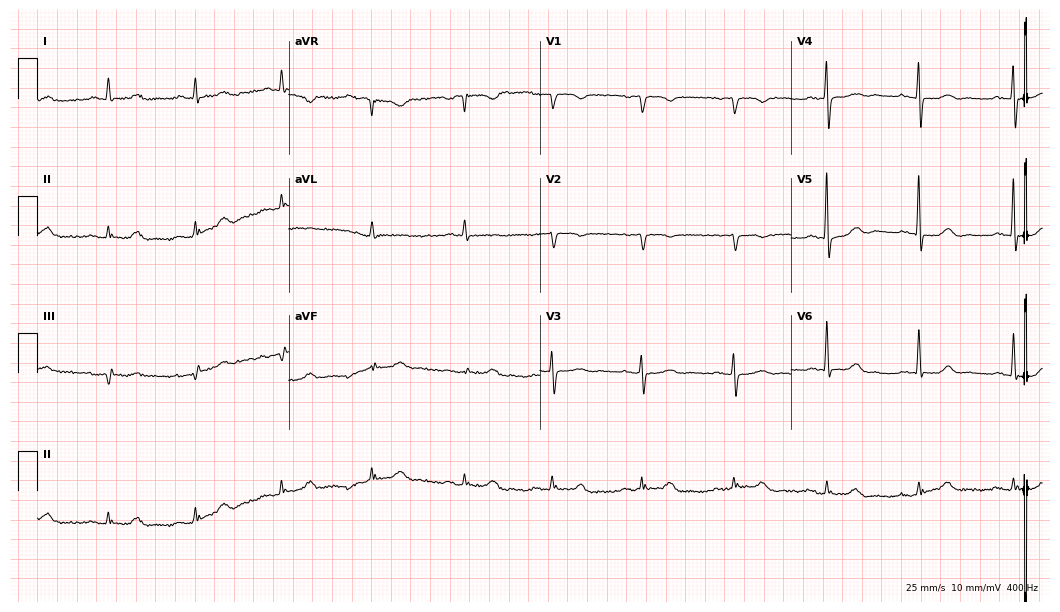
Resting 12-lead electrocardiogram. Patient: a female, 79 years old. None of these six findings is recorded: first-degree AV block, right bundle branch block (RBBB), left bundle branch block (LBBB), sinus bradycardia, atrial fibrillation (AF), sinus tachycardia.